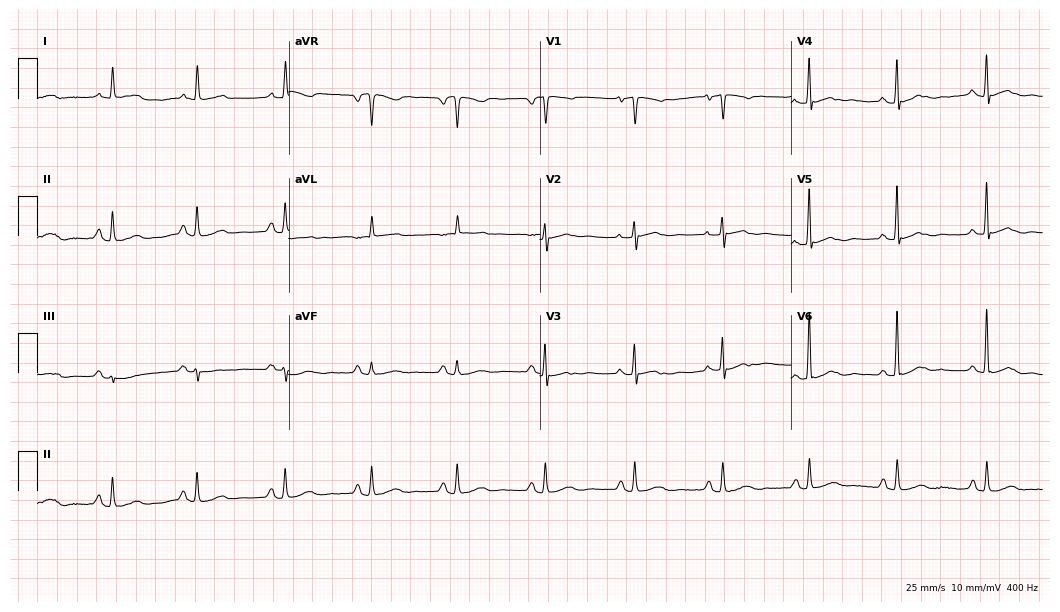
ECG (10.2-second recording at 400 Hz) — a female patient, 70 years old. Screened for six findings — first-degree AV block, right bundle branch block, left bundle branch block, sinus bradycardia, atrial fibrillation, sinus tachycardia — none is recorded.